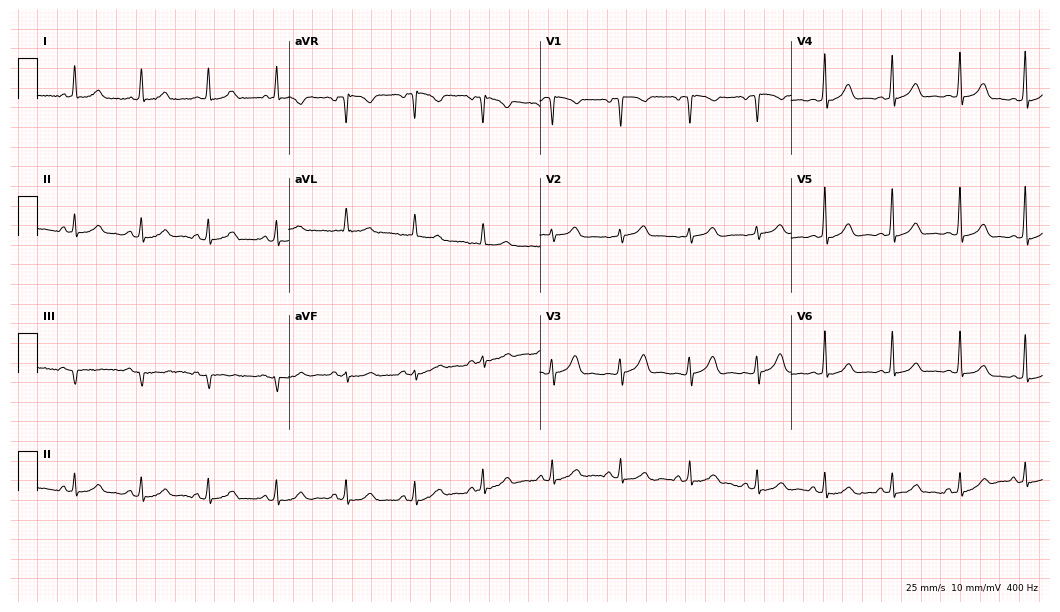
ECG — a female patient, 48 years old. Labelled as a normal ECG.